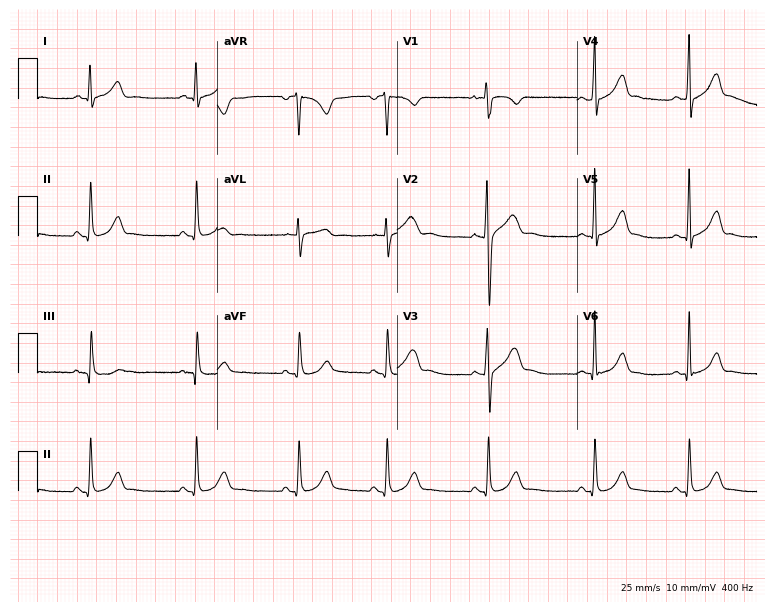
12-lead ECG (7.3-second recording at 400 Hz) from a 19-year-old woman. Labelled as a normal ECG.